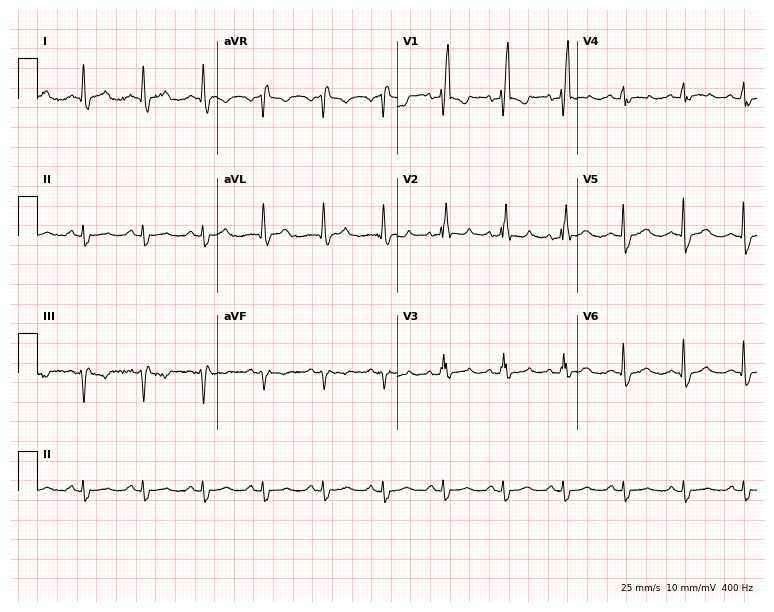
Resting 12-lead electrocardiogram (7.3-second recording at 400 Hz). Patient: a 76-year-old man. The tracing shows right bundle branch block.